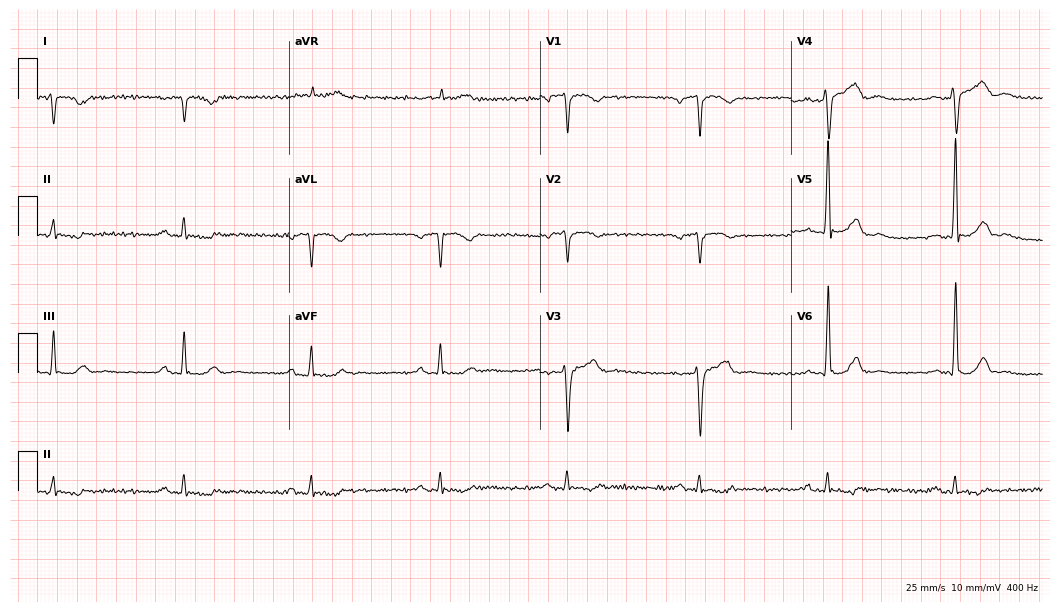
Electrocardiogram, a male patient, 54 years old. Of the six screened findings (first-degree AV block, right bundle branch block, left bundle branch block, sinus bradycardia, atrial fibrillation, sinus tachycardia), none is recorded.